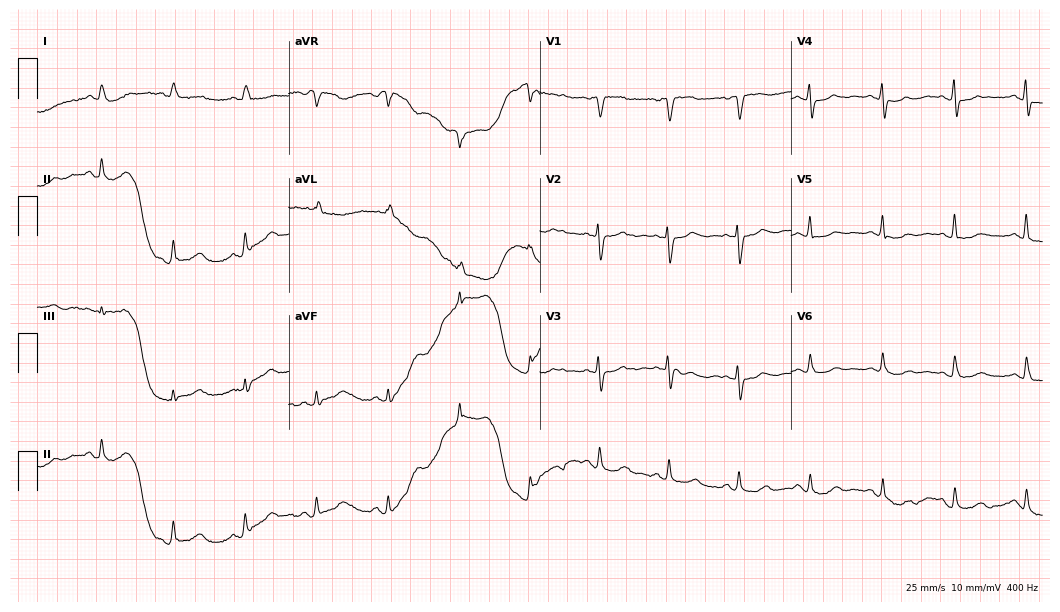
12-lead ECG from a 72-year-old female patient (10.2-second recording at 400 Hz). No first-degree AV block, right bundle branch block (RBBB), left bundle branch block (LBBB), sinus bradycardia, atrial fibrillation (AF) or sinus tachycardia recorded for this tracing.